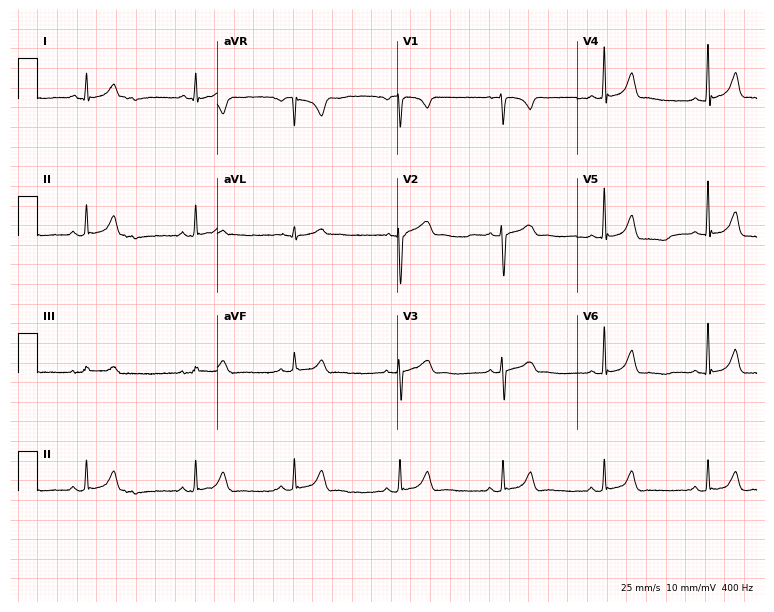
ECG — a 17-year-old female patient. Labelled as a normal ECG.